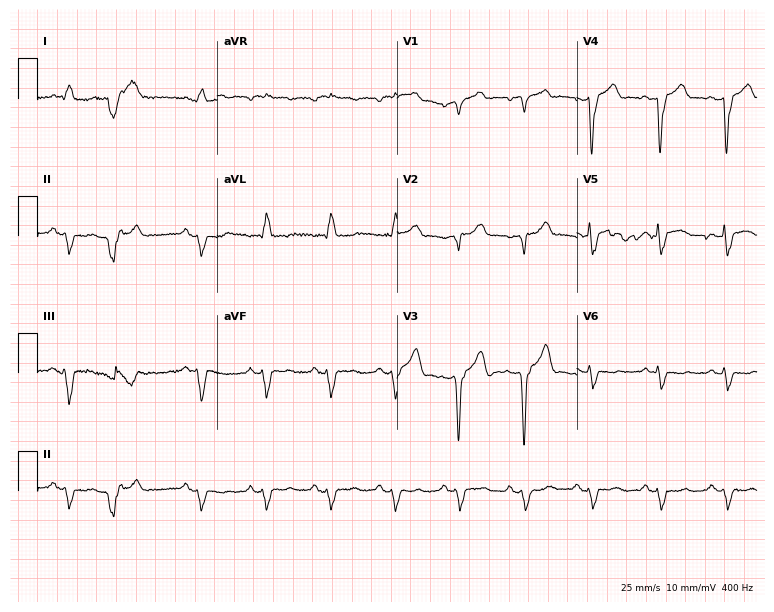
Electrocardiogram (7.3-second recording at 400 Hz), a man, 43 years old. Of the six screened findings (first-degree AV block, right bundle branch block (RBBB), left bundle branch block (LBBB), sinus bradycardia, atrial fibrillation (AF), sinus tachycardia), none is recorded.